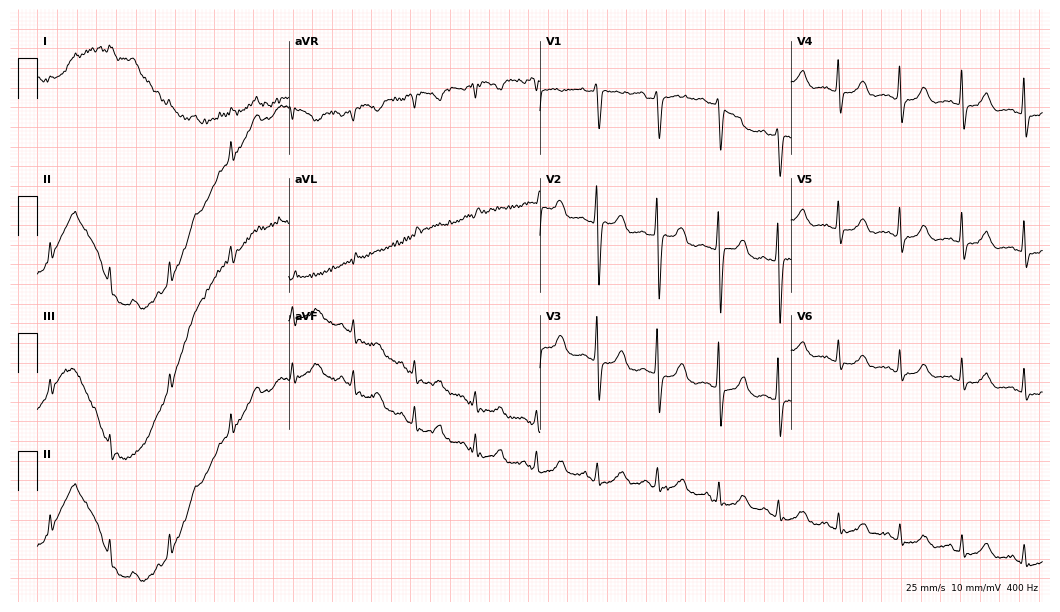
ECG (10.2-second recording at 400 Hz) — a female patient, 55 years old. Labelled as a normal ECG.